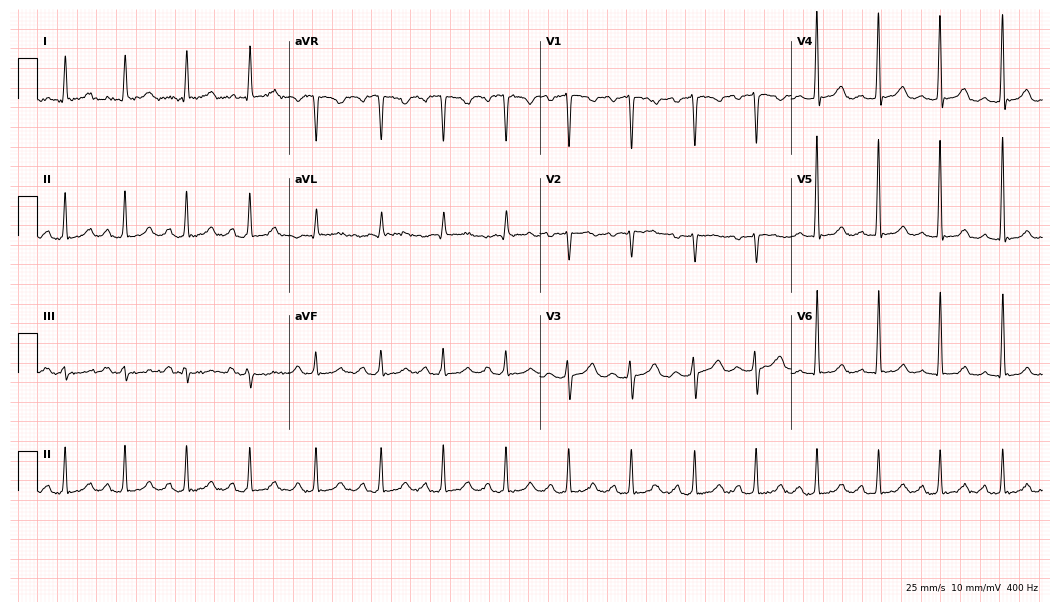
12-lead ECG (10.2-second recording at 400 Hz) from a woman, 39 years old. Screened for six findings — first-degree AV block, right bundle branch block, left bundle branch block, sinus bradycardia, atrial fibrillation, sinus tachycardia — none is recorded. Findings outside these six are not listed.